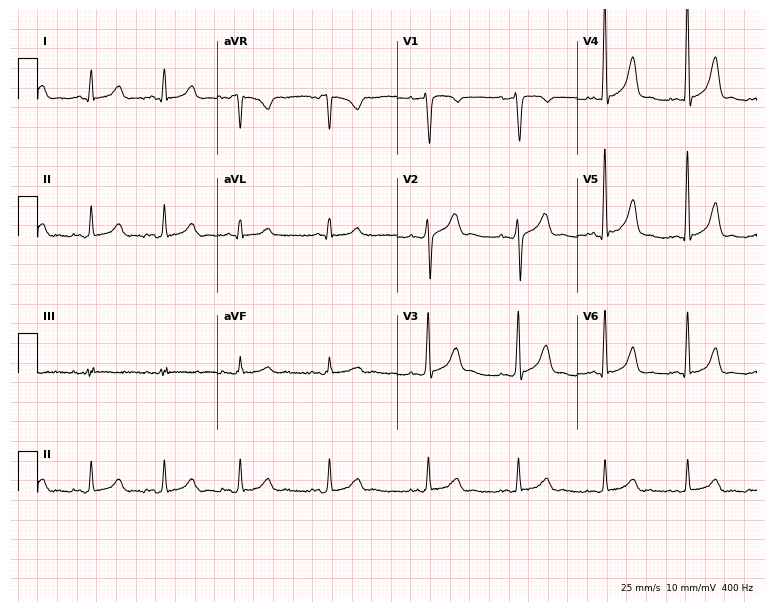
ECG — a 31-year-old man. Screened for six findings — first-degree AV block, right bundle branch block (RBBB), left bundle branch block (LBBB), sinus bradycardia, atrial fibrillation (AF), sinus tachycardia — none is recorded.